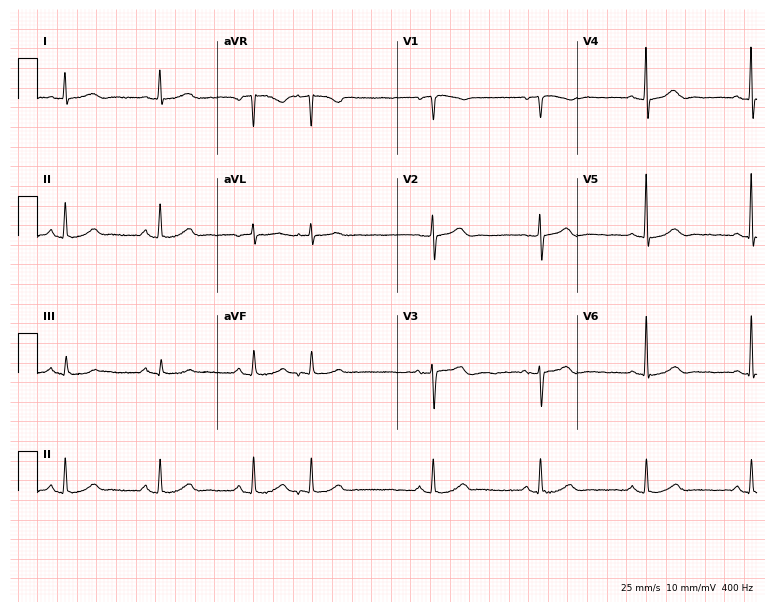
12-lead ECG from a 63-year-old female. Recorded interpretation: within normal limits.